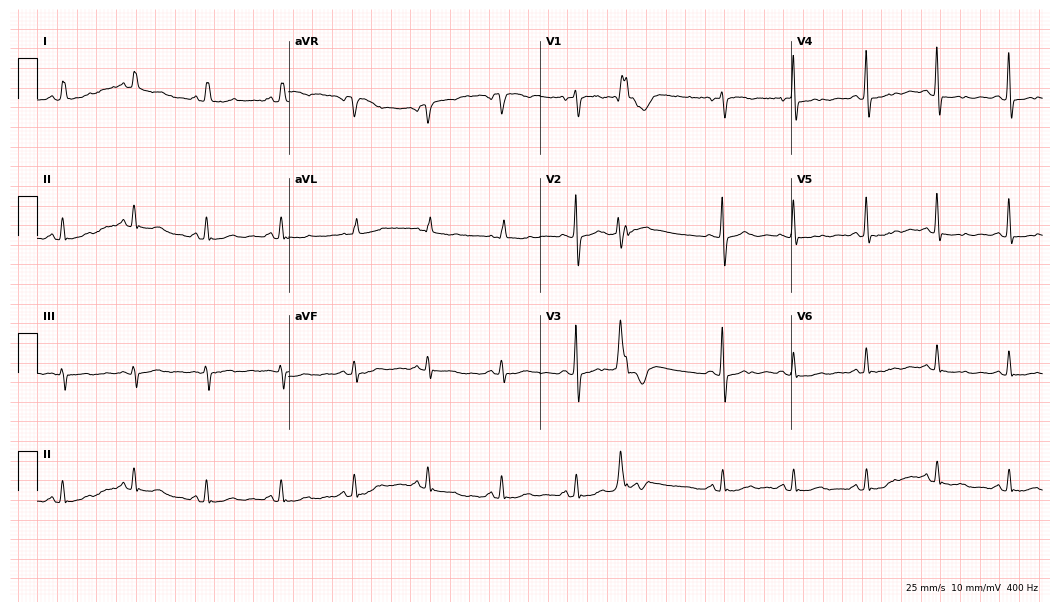
Electrocardiogram (10.2-second recording at 400 Hz), a man, 78 years old. Of the six screened findings (first-degree AV block, right bundle branch block, left bundle branch block, sinus bradycardia, atrial fibrillation, sinus tachycardia), none is recorded. Other findings, if any, are not listed.